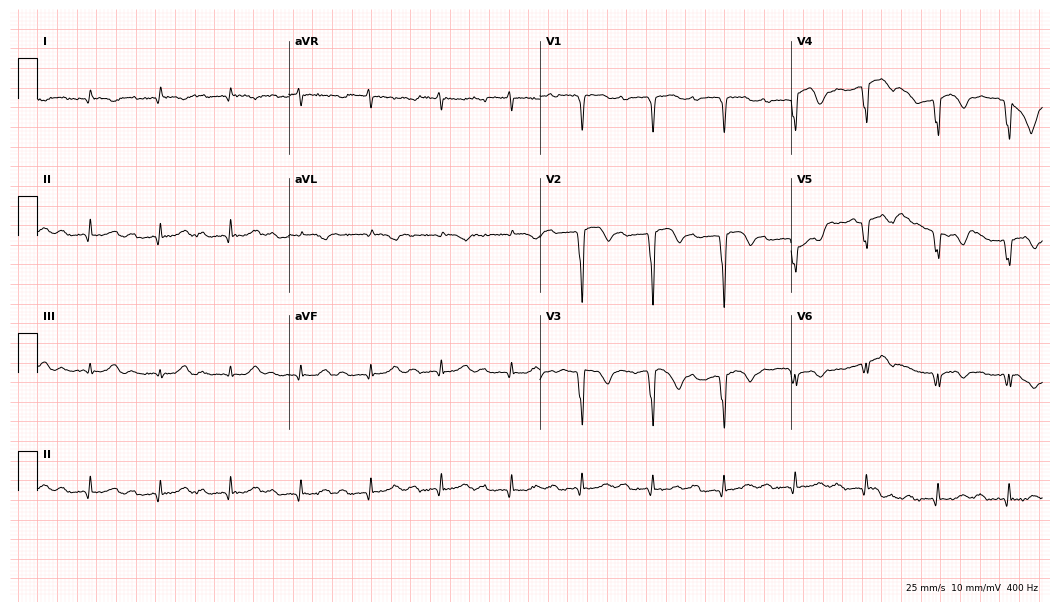
12-lead ECG from a man, 85 years old (10.2-second recording at 400 Hz). Shows first-degree AV block.